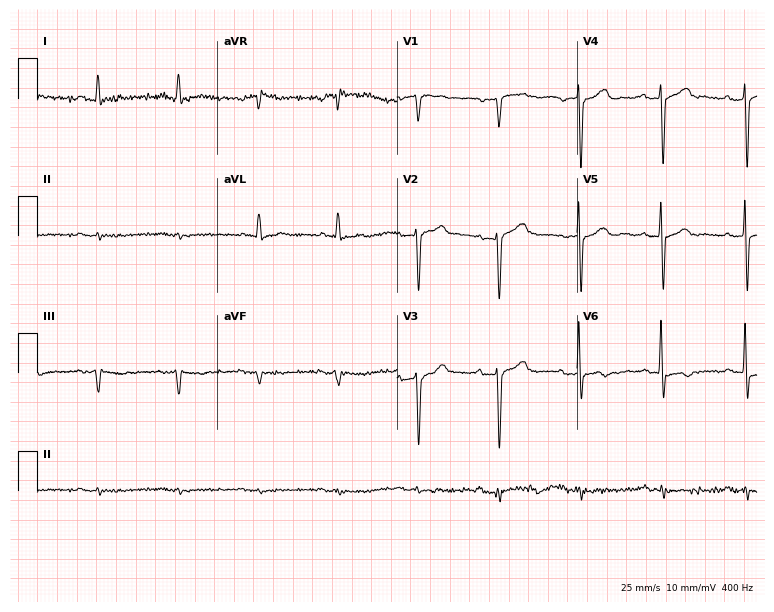
Standard 12-lead ECG recorded from a 69-year-old male patient (7.3-second recording at 400 Hz). None of these six findings is recorded: first-degree AV block, right bundle branch block (RBBB), left bundle branch block (LBBB), sinus bradycardia, atrial fibrillation (AF), sinus tachycardia. Findings outside these six are not listed.